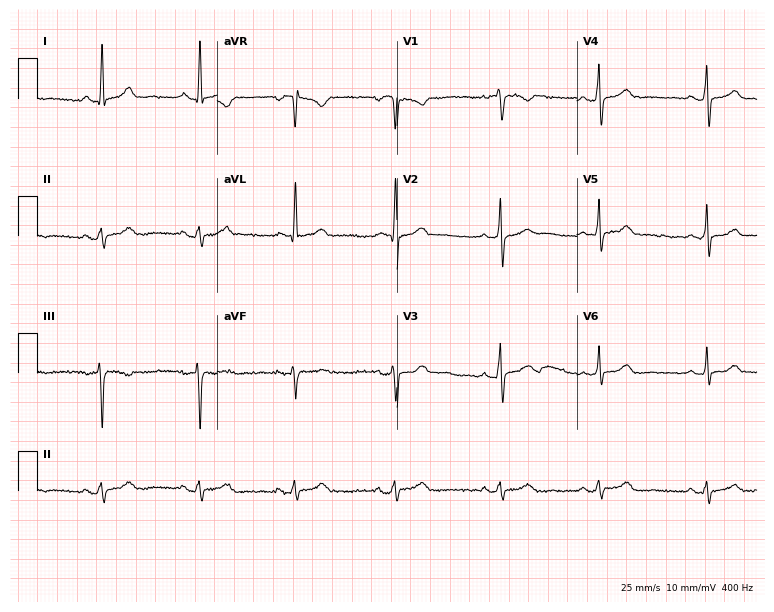
Electrocardiogram, a female patient, 41 years old. Overall reading on record: normal ECG.